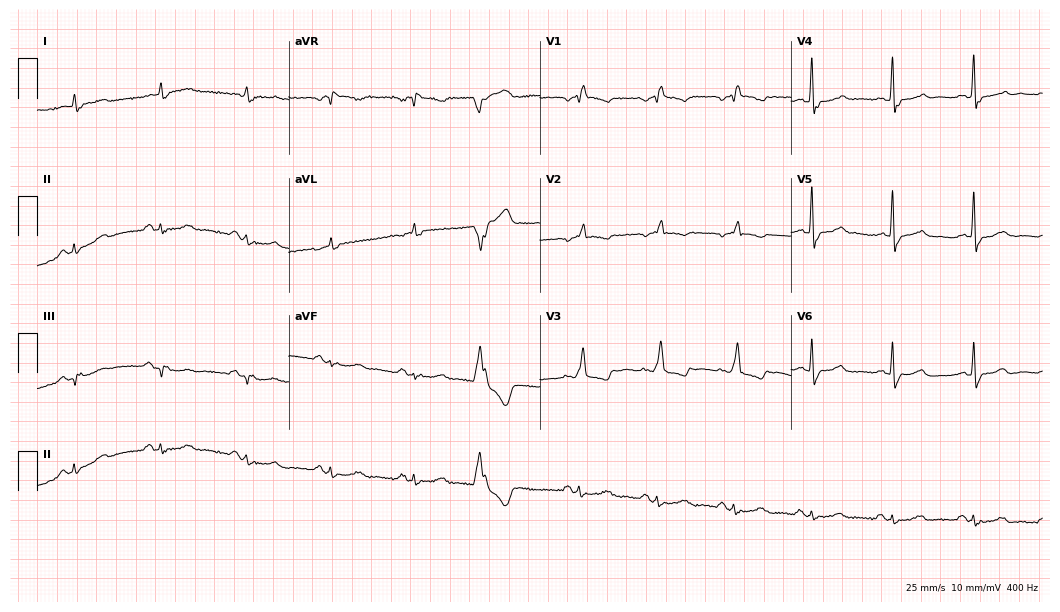
Electrocardiogram, an 85-year-old male. Interpretation includes right bundle branch block.